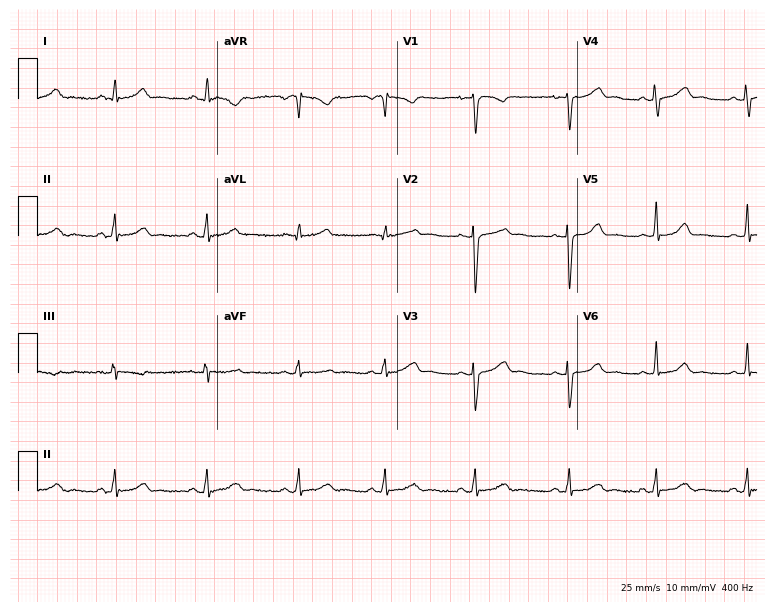
ECG — a female, 33 years old. Labelled as a normal ECG.